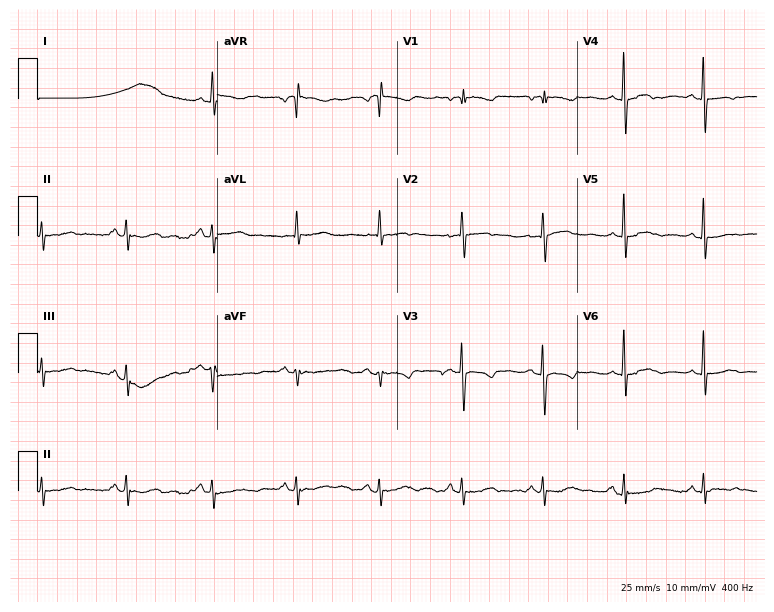
12-lead ECG (7.3-second recording at 400 Hz) from a 63-year-old female. Screened for six findings — first-degree AV block, right bundle branch block (RBBB), left bundle branch block (LBBB), sinus bradycardia, atrial fibrillation (AF), sinus tachycardia — none is recorded. Findings outside these six are not listed.